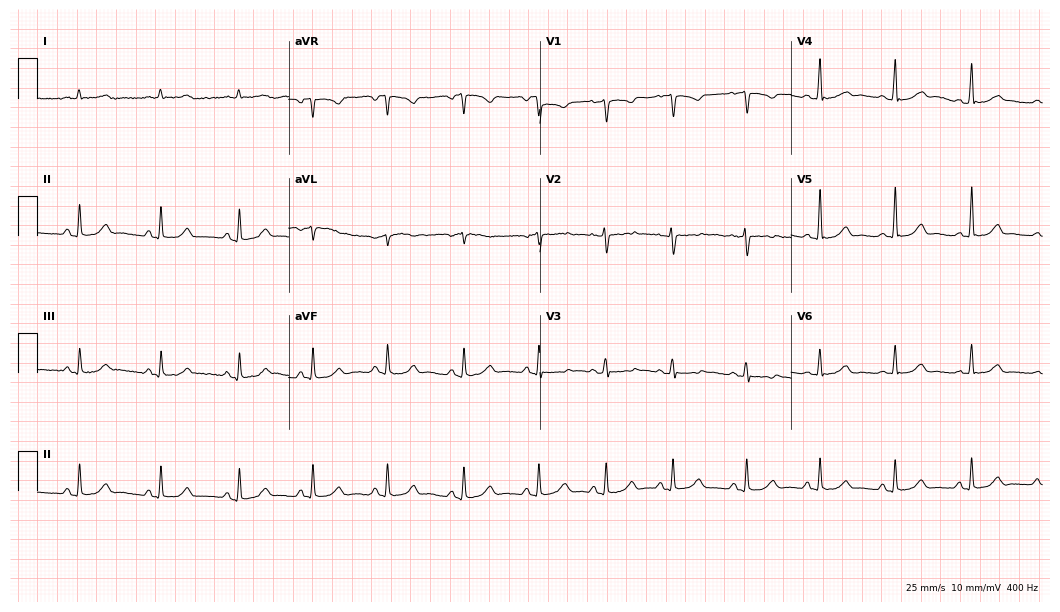
12-lead ECG from a female, 30 years old. Screened for six findings — first-degree AV block, right bundle branch block, left bundle branch block, sinus bradycardia, atrial fibrillation, sinus tachycardia — none is recorded. Only these six findings were labelled.